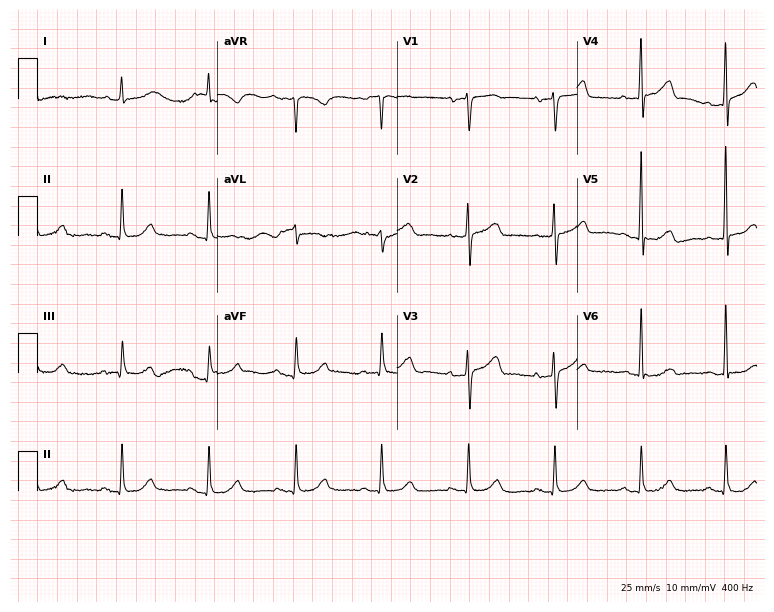
ECG — an 83-year-old man. Labelled as a normal ECG.